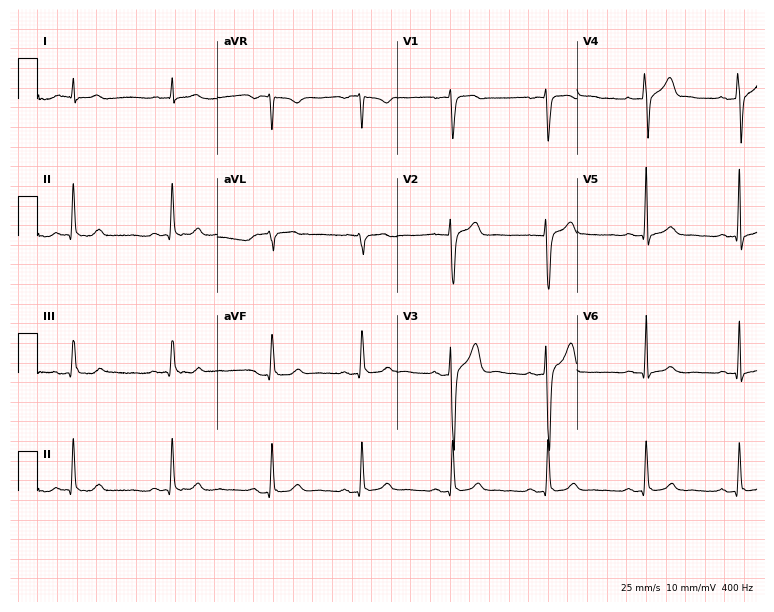
Standard 12-lead ECG recorded from a 27-year-old man. None of these six findings is recorded: first-degree AV block, right bundle branch block, left bundle branch block, sinus bradycardia, atrial fibrillation, sinus tachycardia.